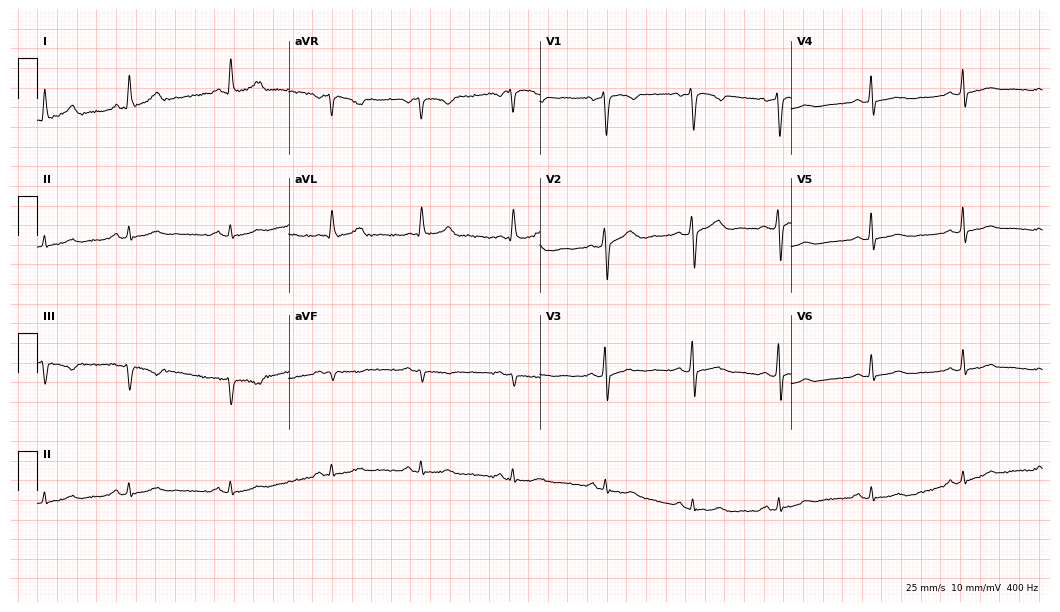
Electrocardiogram (10.2-second recording at 400 Hz), a female, 64 years old. Of the six screened findings (first-degree AV block, right bundle branch block, left bundle branch block, sinus bradycardia, atrial fibrillation, sinus tachycardia), none is recorded. Findings outside these six are not listed.